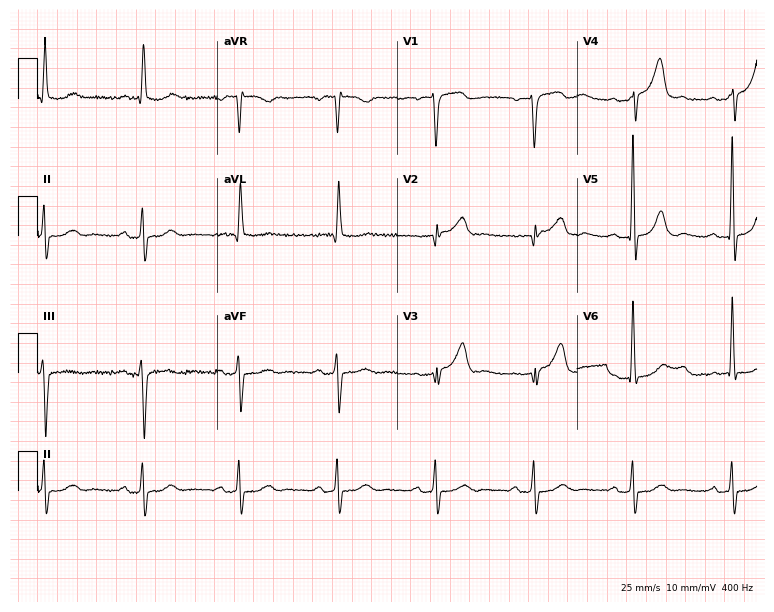
Electrocardiogram, a 78-year-old male patient. Of the six screened findings (first-degree AV block, right bundle branch block, left bundle branch block, sinus bradycardia, atrial fibrillation, sinus tachycardia), none is recorded. Other findings, if any, are not listed.